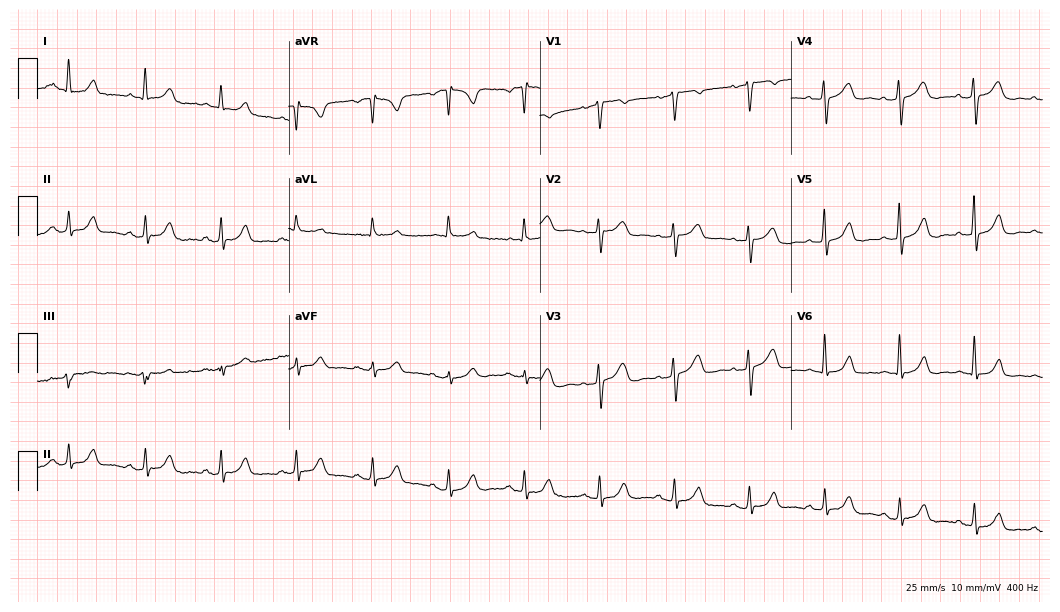
Electrocardiogram, a woman, 52 years old. Overall reading on record: normal ECG.